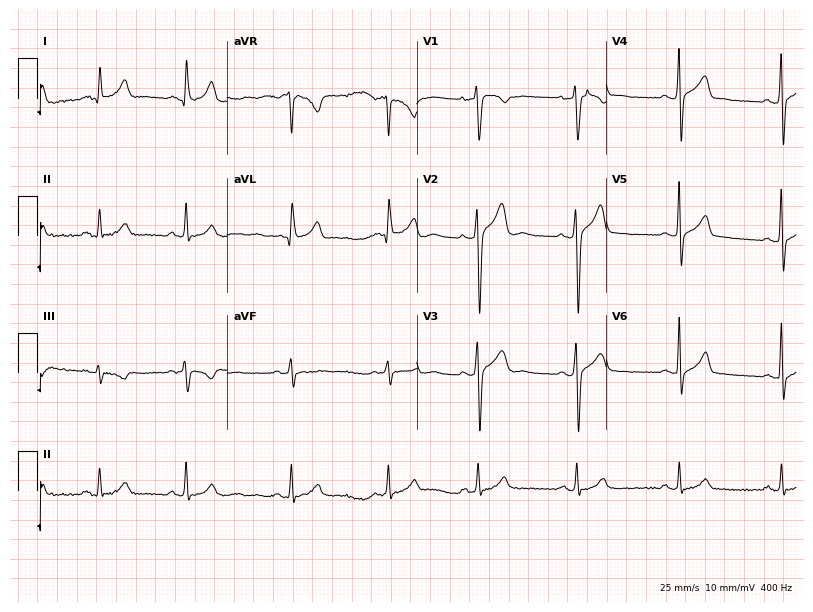
Standard 12-lead ECG recorded from a 29-year-old male patient. None of these six findings is recorded: first-degree AV block, right bundle branch block (RBBB), left bundle branch block (LBBB), sinus bradycardia, atrial fibrillation (AF), sinus tachycardia. Only these six findings were labelled.